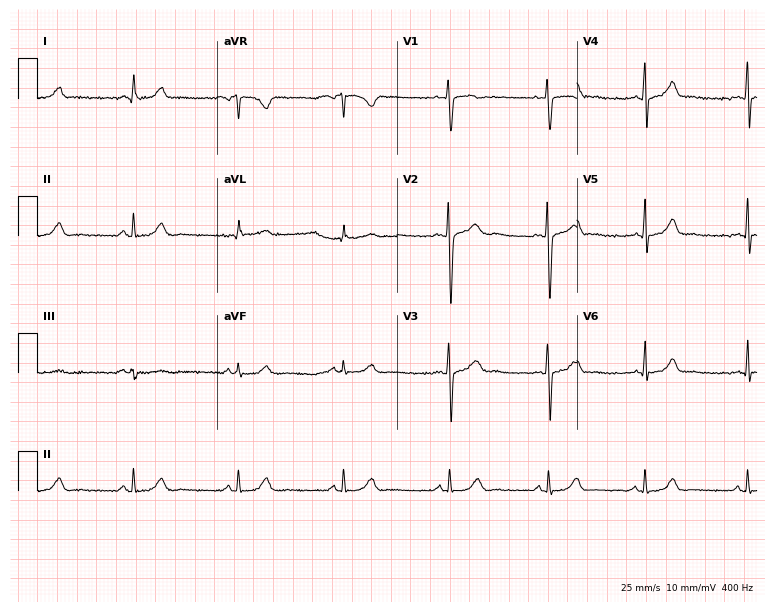
Standard 12-lead ECG recorded from a woman, 26 years old. None of these six findings is recorded: first-degree AV block, right bundle branch block, left bundle branch block, sinus bradycardia, atrial fibrillation, sinus tachycardia. Only these six findings were labelled.